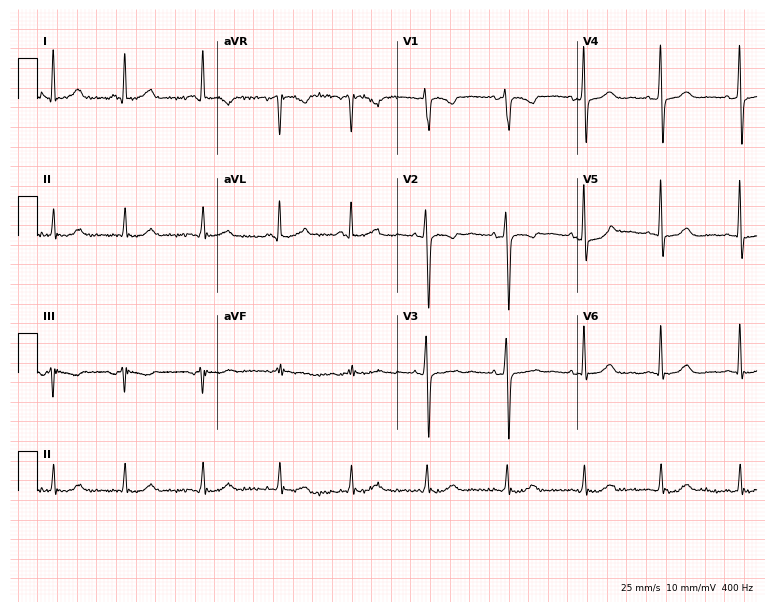
ECG — a woman, 61 years old. Screened for six findings — first-degree AV block, right bundle branch block, left bundle branch block, sinus bradycardia, atrial fibrillation, sinus tachycardia — none is recorded.